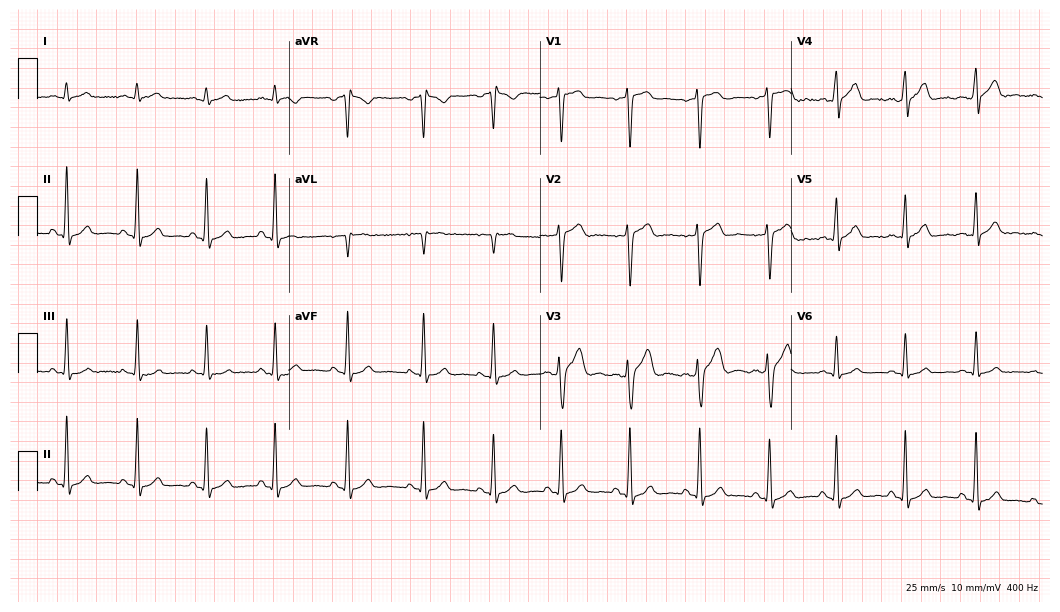
Resting 12-lead electrocardiogram. Patient: an 18-year-old male. None of these six findings is recorded: first-degree AV block, right bundle branch block, left bundle branch block, sinus bradycardia, atrial fibrillation, sinus tachycardia.